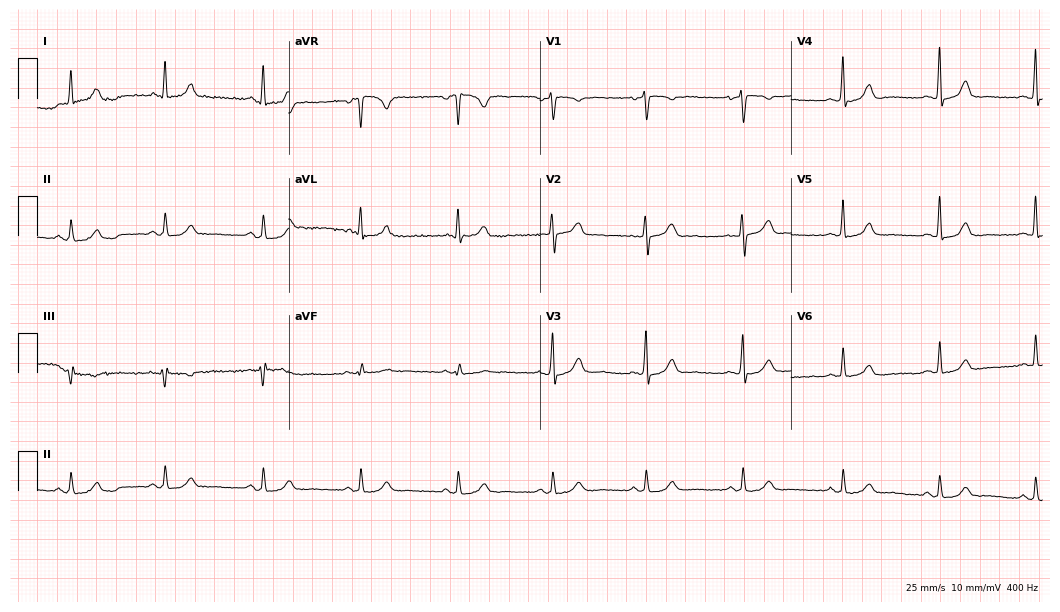
Resting 12-lead electrocardiogram. Patient: a 35-year-old female. Read as a normal ECG.